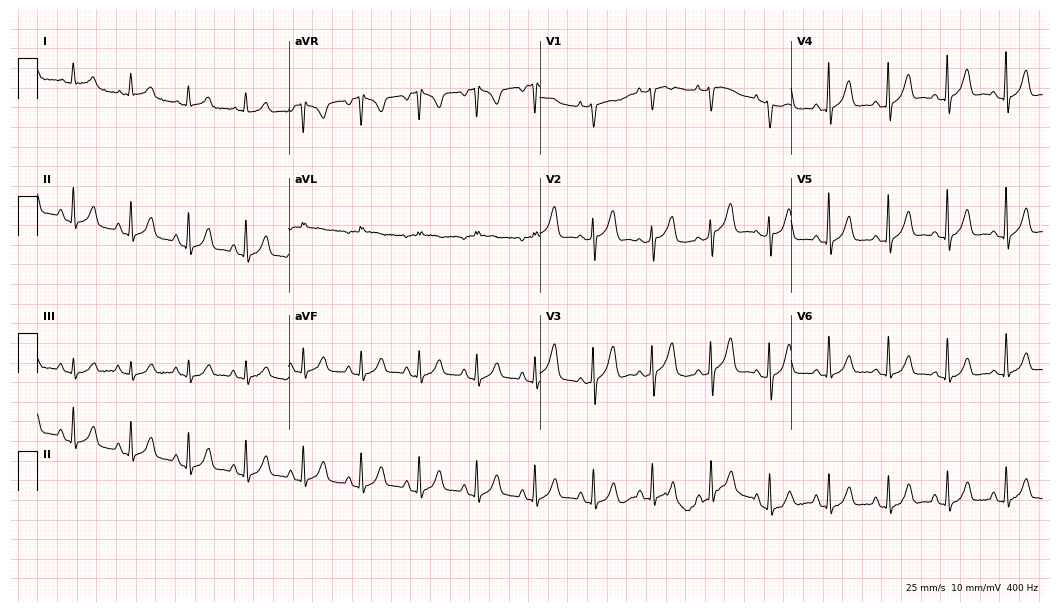
12-lead ECG from a female patient, 79 years old. Findings include sinus tachycardia (a sinus rate of 100 beats per minute or more).